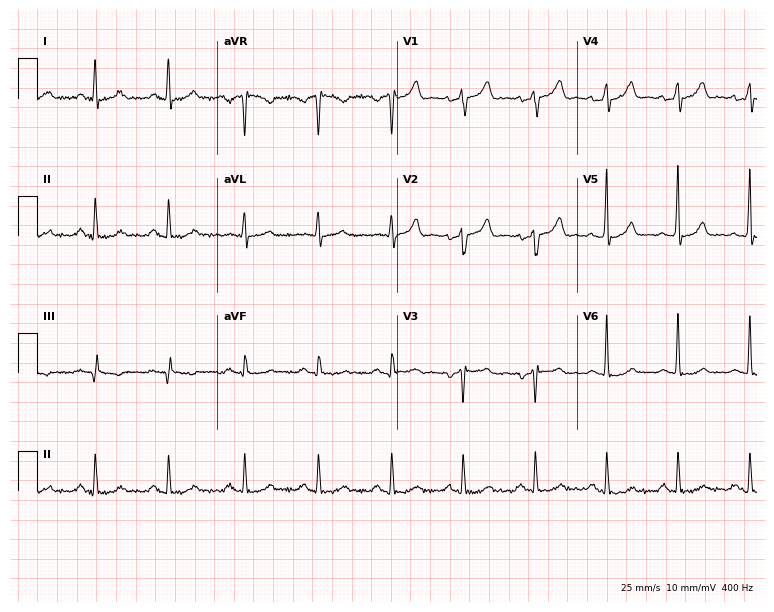
12-lead ECG from a 52-year-old male. Screened for six findings — first-degree AV block, right bundle branch block (RBBB), left bundle branch block (LBBB), sinus bradycardia, atrial fibrillation (AF), sinus tachycardia — none is recorded.